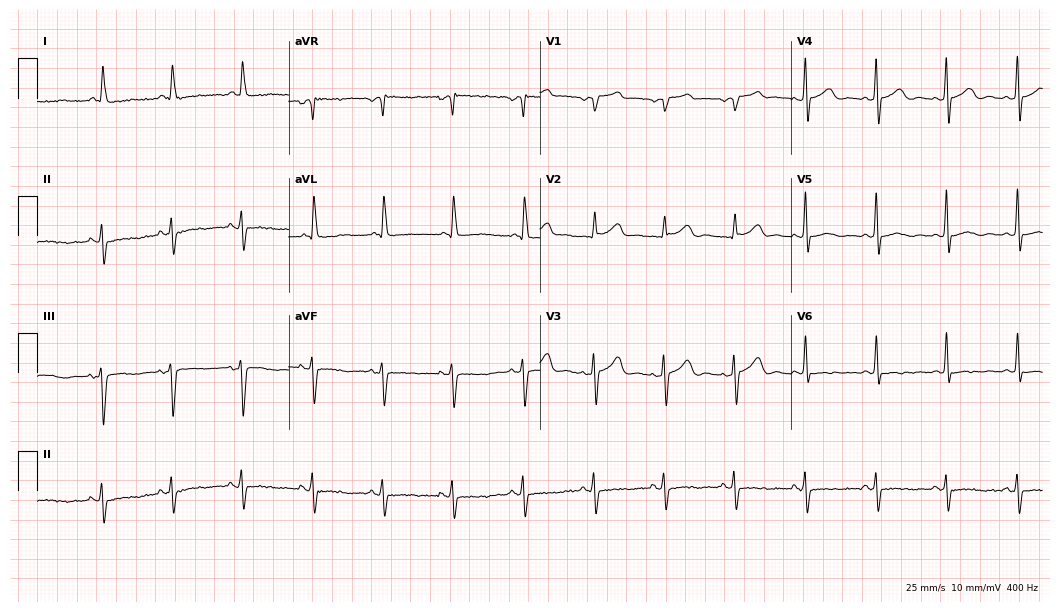
Resting 12-lead electrocardiogram (10.2-second recording at 400 Hz). Patient: a male, 63 years old. None of these six findings is recorded: first-degree AV block, right bundle branch block, left bundle branch block, sinus bradycardia, atrial fibrillation, sinus tachycardia.